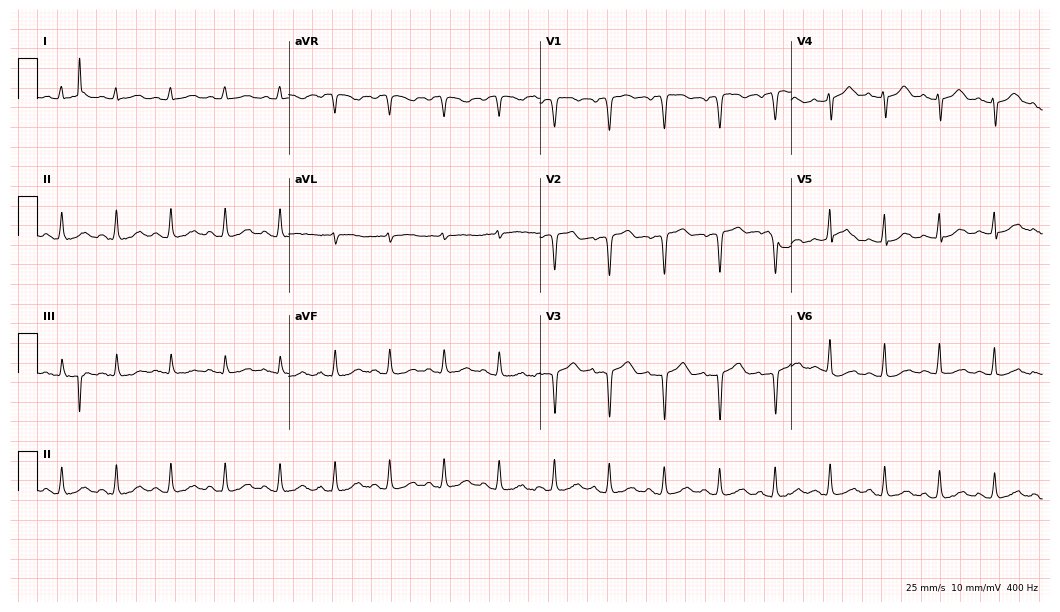
ECG — a 70-year-old female. Findings include sinus tachycardia (a sinus rate of 100 beats per minute or more).